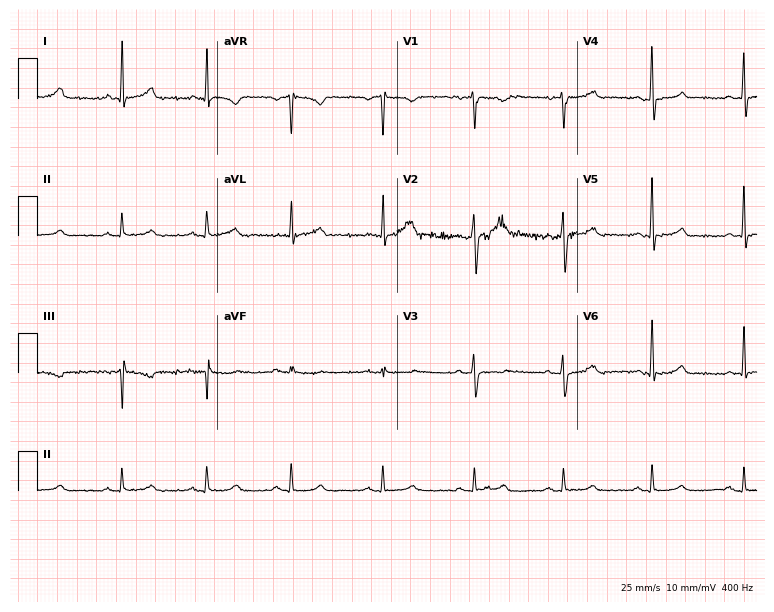
Electrocardiogram (7.3-second recording at 400 Hz), a man, 36 years old. Overall reading on record: normal ECG.